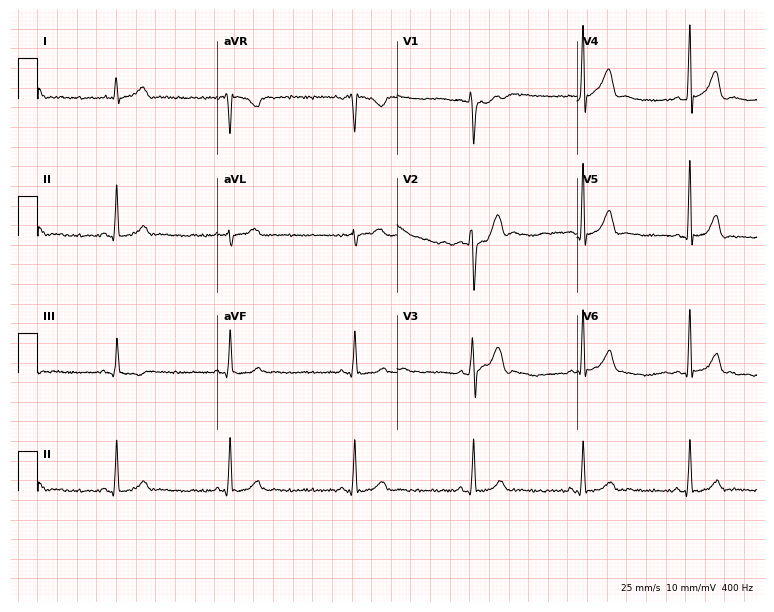
Electrocardiogram (7.3-second recording at 400 Hz), a 20-year-old man. Of the six screened findings (first-degree AV block, right bundle branch block, left bundle branch block, sinus bradycardia, atrial fibrillation, sinus tachycardia), none is recorded. Other findings, if any, are not listed.